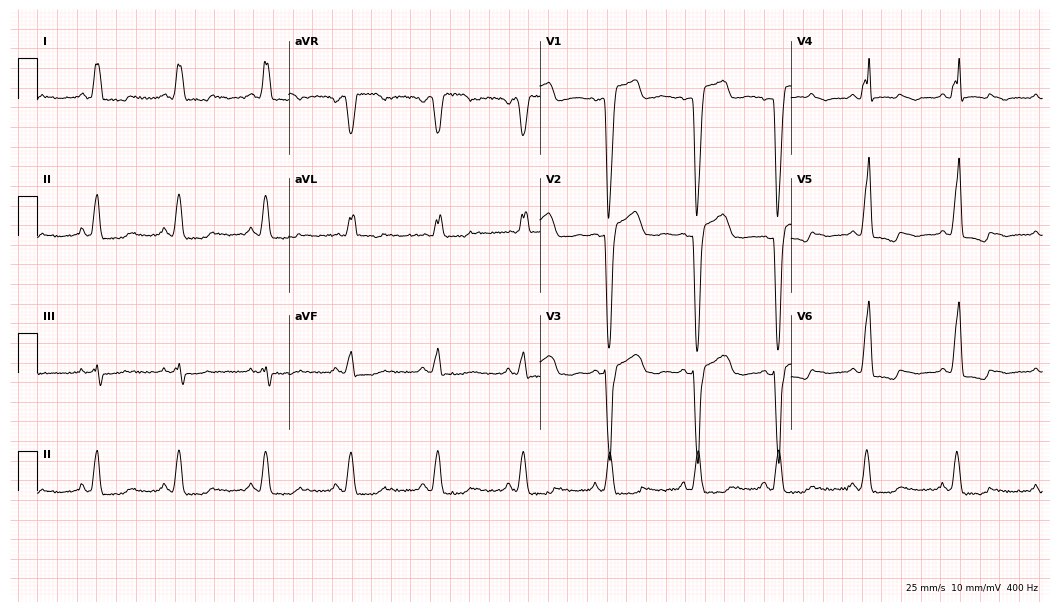
ECG — a female, 63 years old. Findings include left bundle branch block (LBBB).